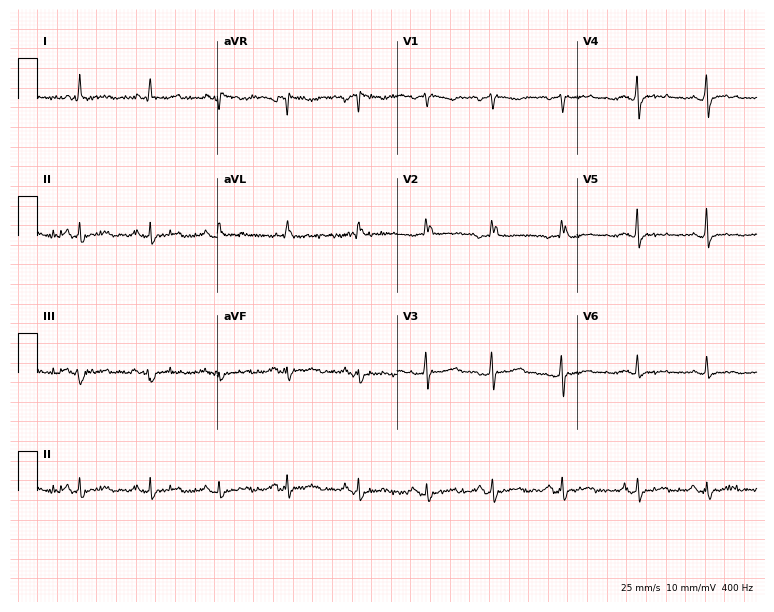
Resting 12-lead electrocardiogram (7.3-second recording at 400 Hz). Patient: a 26-year-old female. None of these six findings is recorded: first-degree AV block, right bundle branch block (RBBB), left bundle branch block (LBBB), sinus bradycardia, atrial fibrillation (AF), sinus tachycardia. Other findings, if any, are not listed.